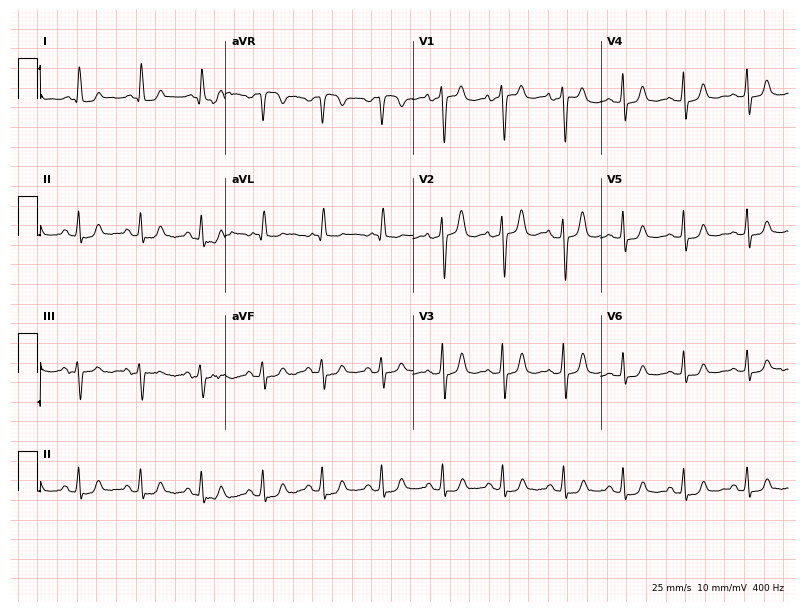
Standard 12-lead ECG recorded from an 83-year-old female (7.7-second recording at 400 Hz). None of these six findings is recorded: first-degree AV block, right bundle branch block, left bundle branch block, sinus bradycardia, atrial fibrillation, sinus tachycardia.